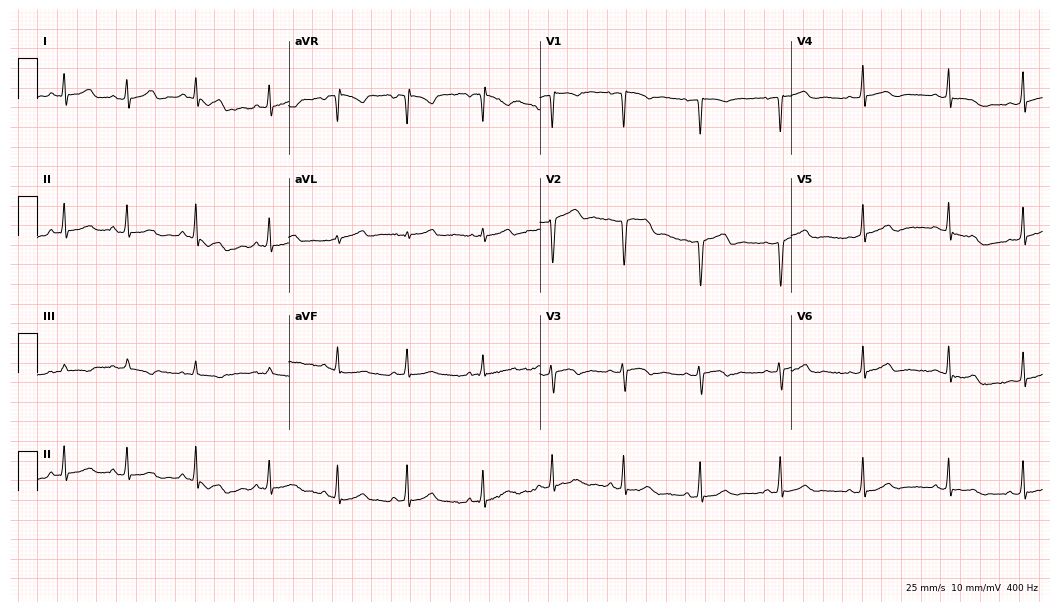
Standard 12-lead ECG recorded from a 20-year-old female (10.2-second recording at 400 Hz). None of these six findings is recorded: first-degree AV block, right bundle branch block, left bundle branch block, sinus bradycardia, atrial fibrillation, sinus tachycardia.